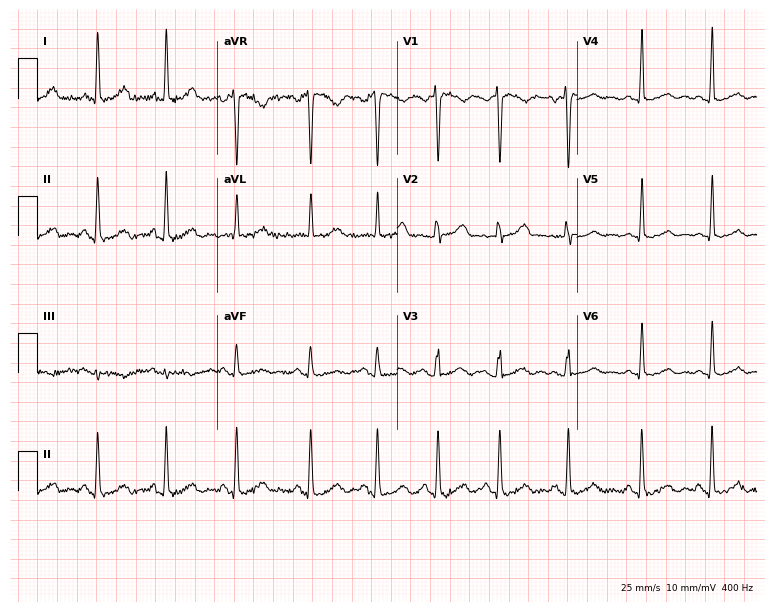
Standard 12-lead ECG recorded from a 31-year-old woman (7.3-second recording at 400 Hz). Read as a normal ECG.